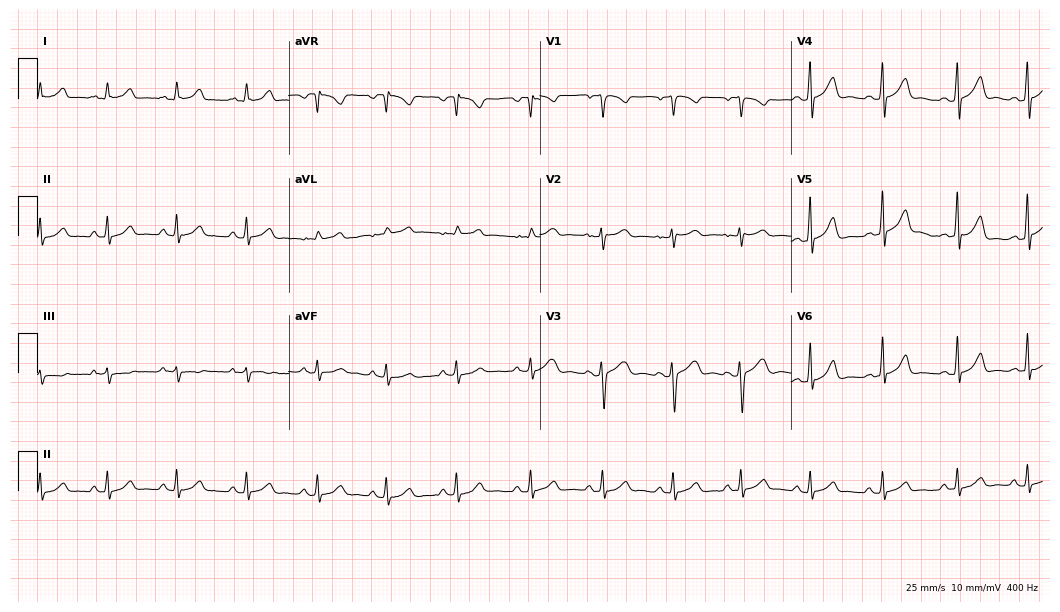
Standard 12-lead ECG recorded from a 28-year-old female patient. Read as a normal ECG.